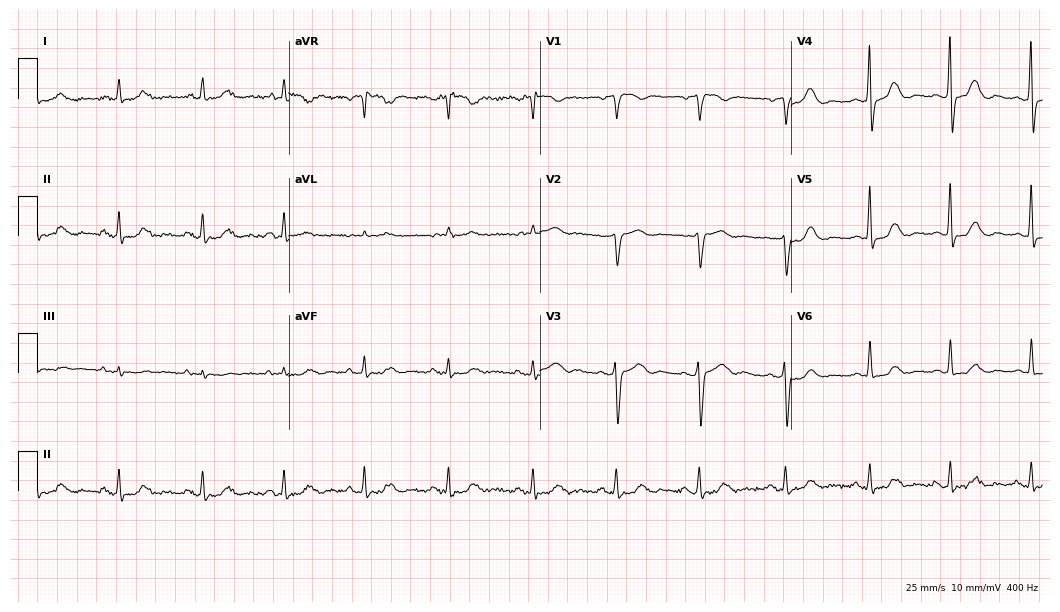
Resting 12-lead electrocardiogram. Patient: a woman, 57 years old. None of these six findings is recorded: first-degree AV block, right bundle branch block, left bundle branch block, sinus bradycardia, atrial fibrillation, sinus tachycardia.